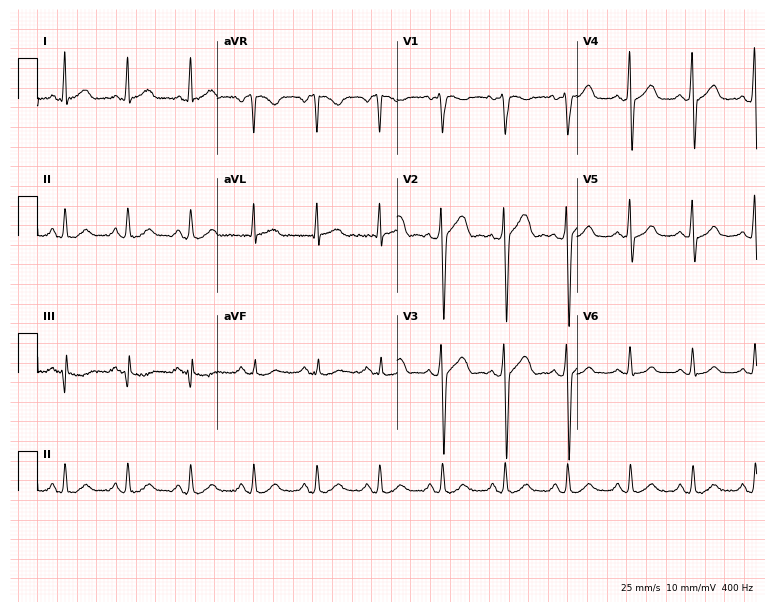
Electrocardiogram, a 59-year-old male patient. Overall reading on record: normal ECG.